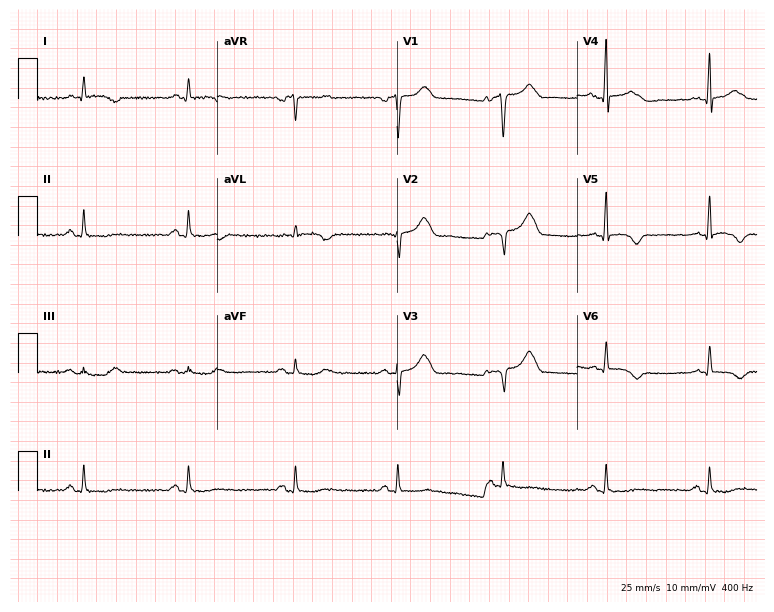
Electrocardiogram (7.3-second recording at 400 Hz), a male patient, 66 years old. Of the six screened findings (first-degree AV block, right bundle branch block, left bundle branch block, sinus bradycardia, atrial fibrillation, sinus tachycardia), none is recorded.